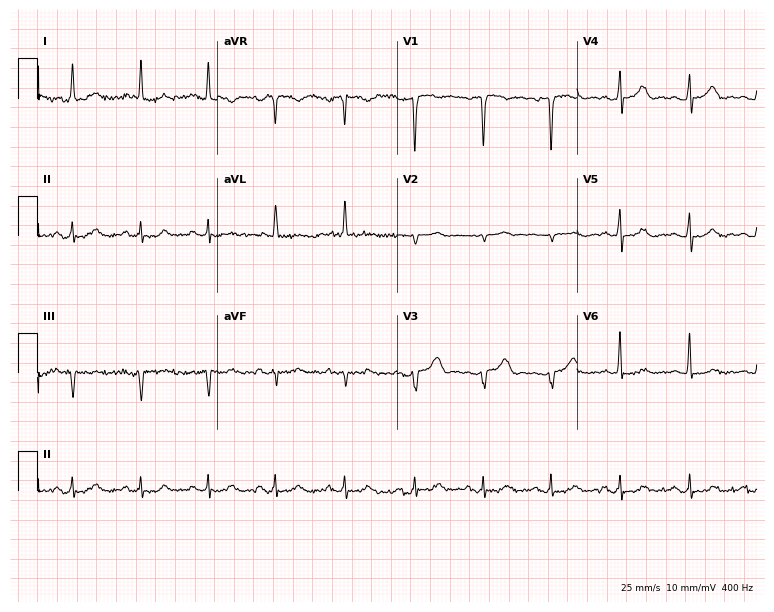
ECG (7.3-second recording at 400 Hz) — a 79-year-old female patient. Screened for six findings — first-degree AV block, right bundle branch block (RBBB), left bundle branch block (LBBB), sinus bradycardia, atrial fibrillation (AF), sinus tachycardia — none is recorded.